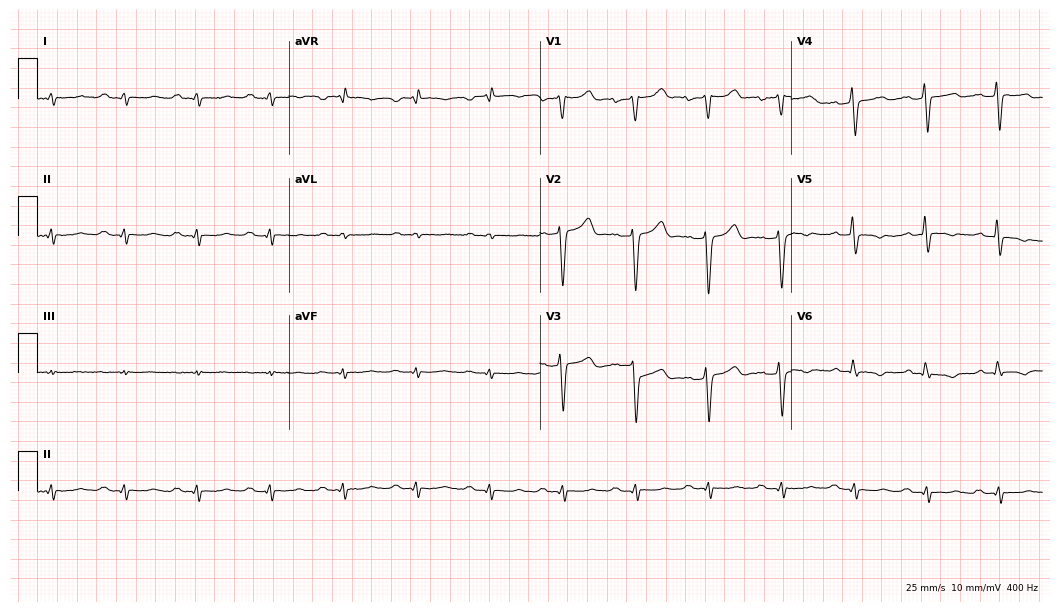
12-lead ECG from a 72-year-old man. No first-degree AV block, right bundle branch block (RBBB), left bundle branch block (LBBB), sinus bradycardia, atrial fibrillation (AF) or sinus tachycardia recorded for this tracing. Findings outside these six are not listed.